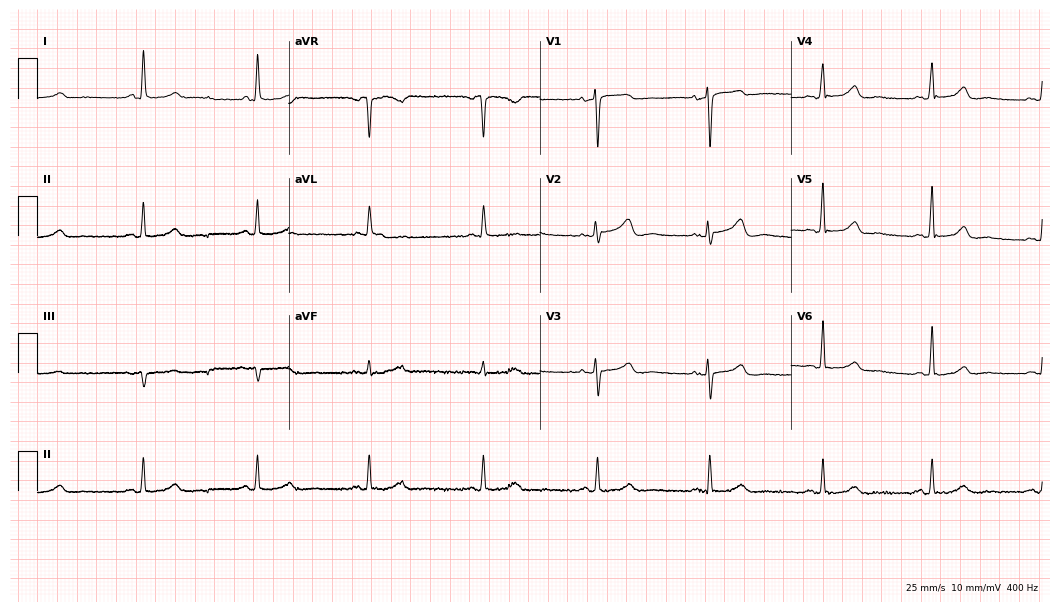
Resting 12-lead electrocardiogram. Patient: a female, 63 years old. Read as a normal ECG.